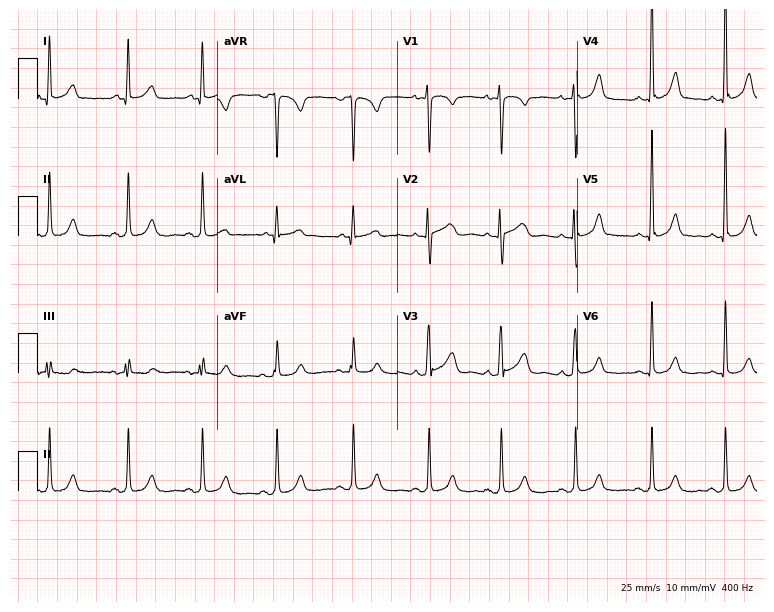
Resting 12-lead electrocardiogram. Patient: a female, 26 years old. Read as a normal ECG.